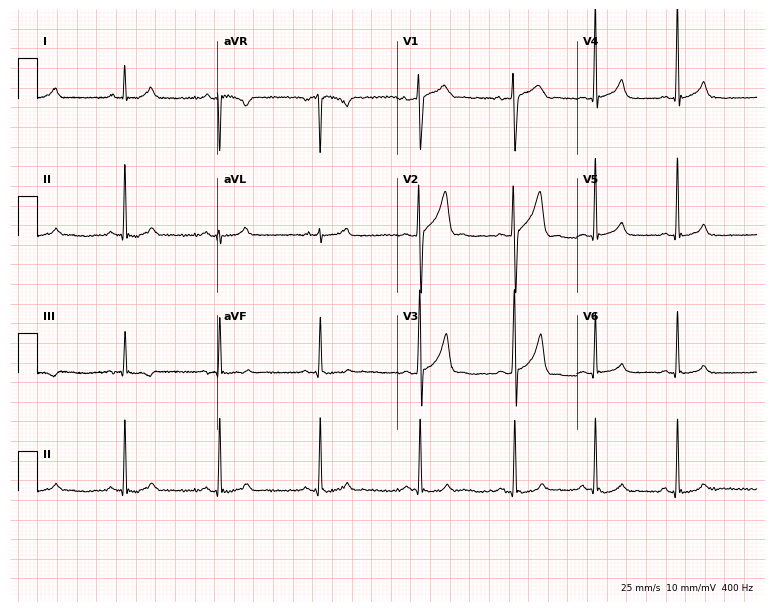
Resting 12-lead electrocardiogram. Patient: a 26-year-old male. Read as a normal ECG.